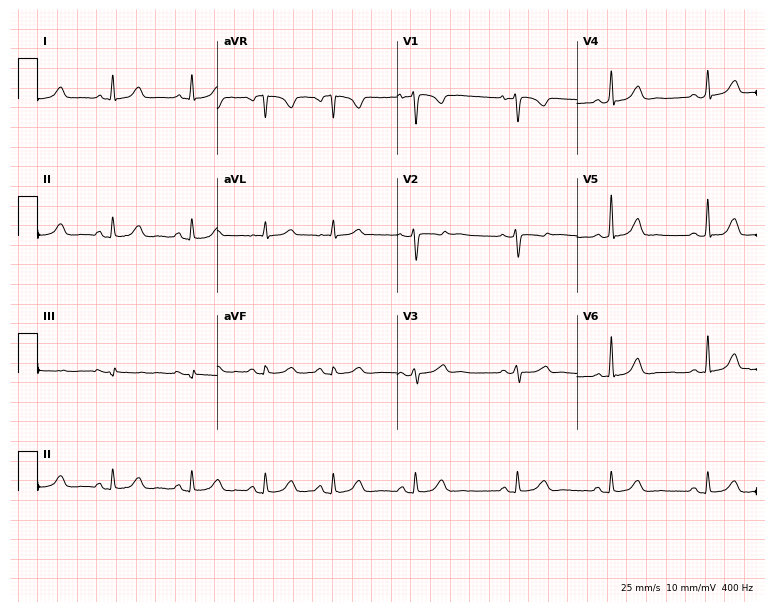
ECG — a 43-year-old female. Screened for six findings — first-degree AV block, right bundle branch block, left bundle branch block, sinus bradycardia, atrial fibrillation, sinus tachycardia — none is recorded.